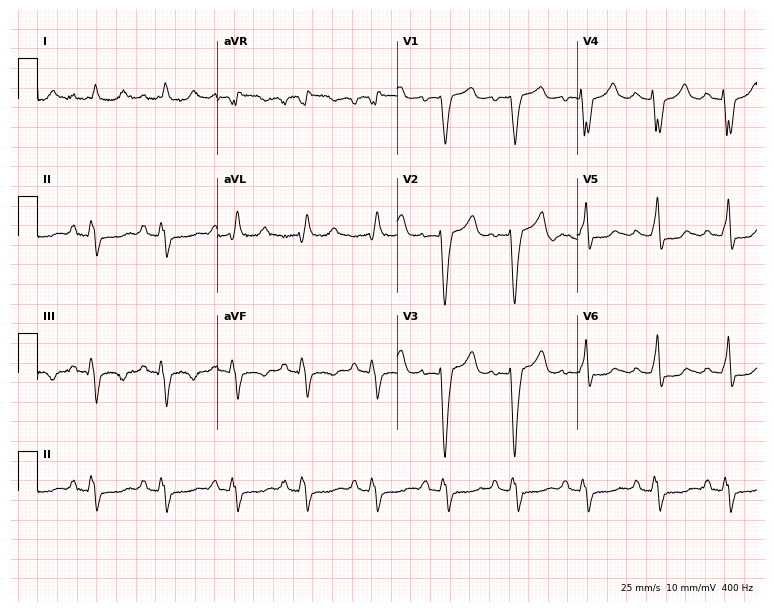
ECG — a 47-year-old female patient. Findings include left bundle branch block.